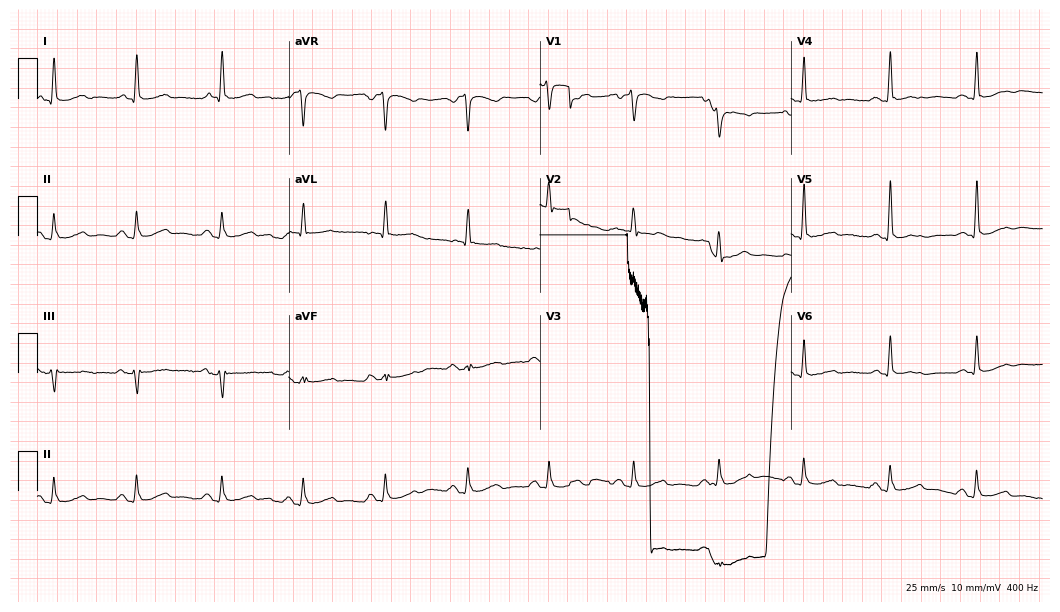
Electrocardiogram (10.2-second recording at 400 Hz), a 71-year-old woman. Overall reading on record: normal ECG.